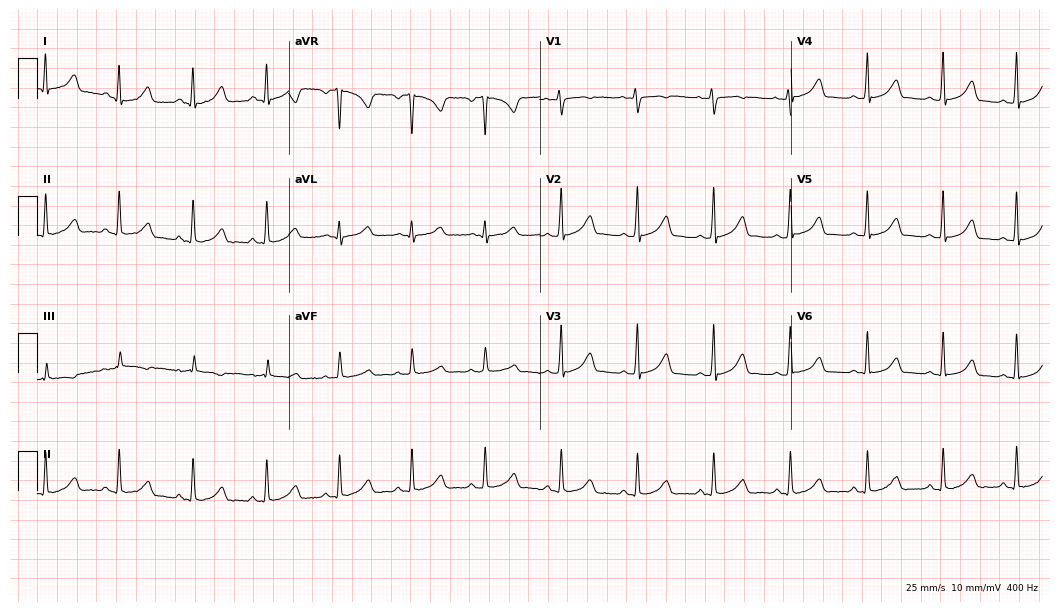
Standard 12-lead ECG recorded from a 20-year-old female patient (10.2-second recording at 400 Hz). None of these six findings is recorded: first-degree AV block, right bundle branch block (RBBB), left bundle branch block (LBBB), sinus bradycardia, atrial fibrillation (AF), sinus tachycardia. Findings outside these six are not listed.